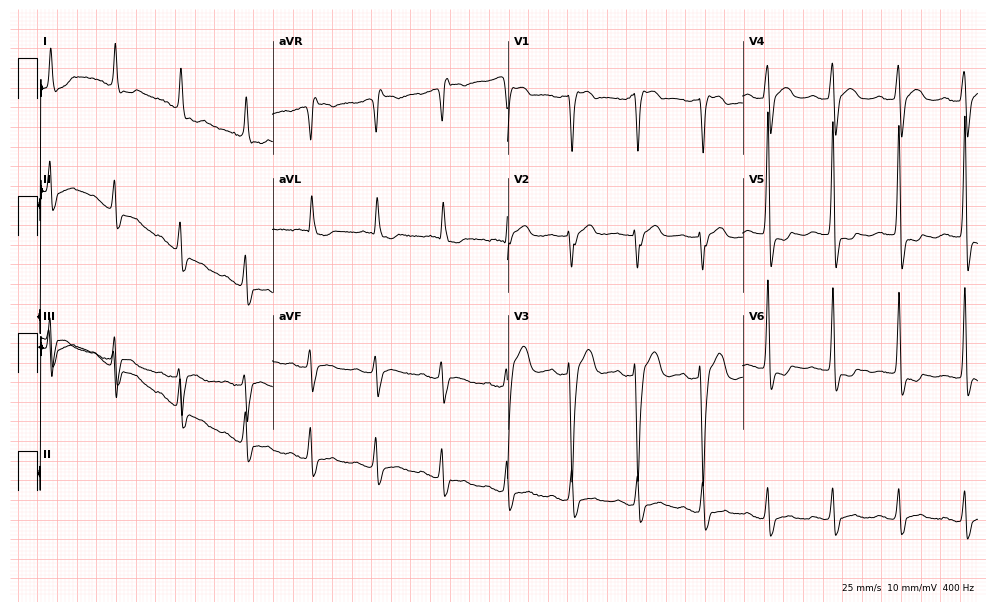
Resting 12-lead electrocardiogram (9.6-second recording at 400 Hz). Patient: a woman, 83 years old. None of these six findings is recorded: first-degree AV block, right bundle branch block, left bundle branch block, sinus bradycardia, atrial fibrillation, sinus tachycardia.